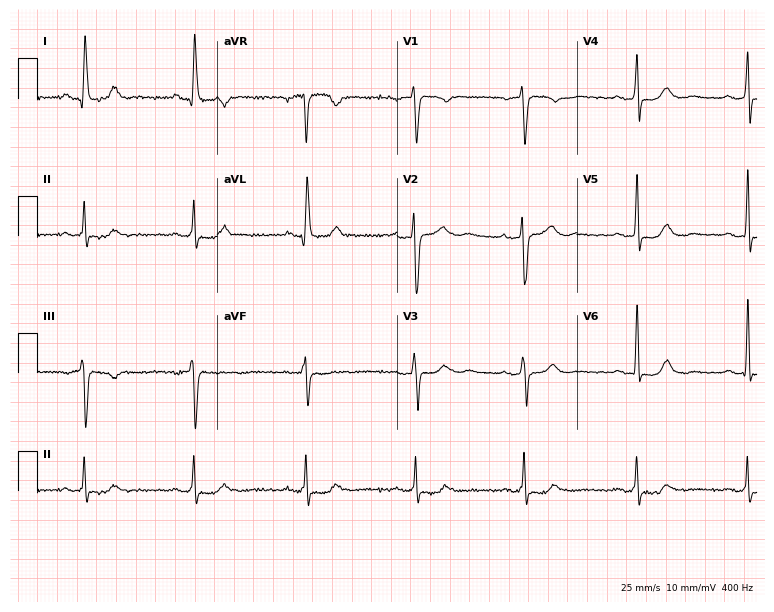
Electrocardiogram (7.3-second recording at 400 Hz), a female, 63 years old. Of the six screened findings (first-degree AV block, right bundle branch block, left bundle branch block, sinus bradycardia, atrial fibrillation, sinus tachycardia), none is recorded. Findings outside these six are not listed.